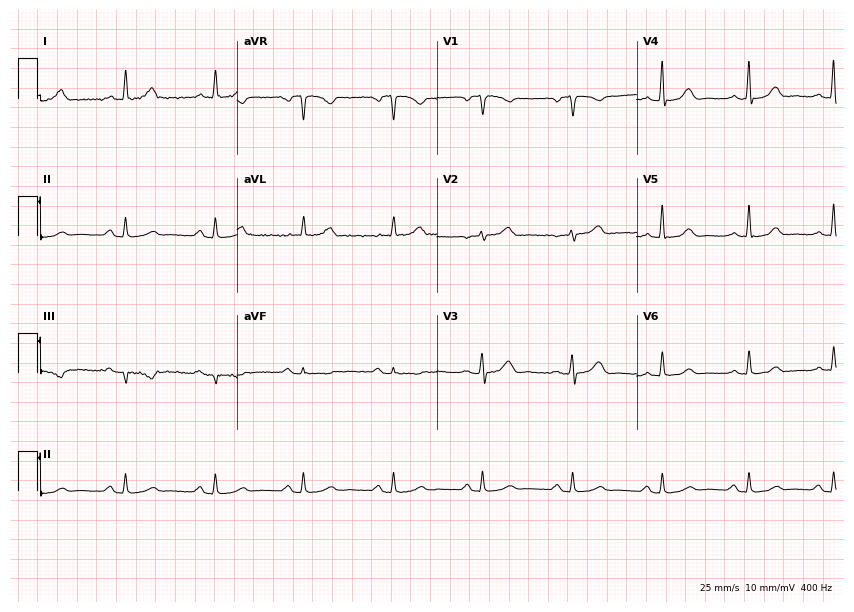
Resting 12-lead electrocardiogram (8.1-second recording at 400 Hz). Patient: a female, 52 years old. Read as a normal ECG.